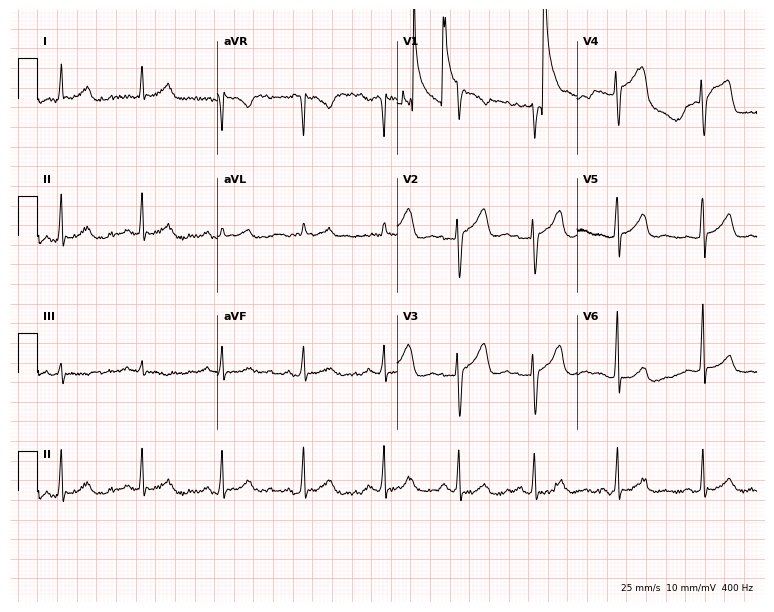
12-lead ECG (7.3-second recording at 400 Hz) from a 29-year-old female patient. Screened for six findings — first-degree AV block, right bundle branch block, left bundle branch block, sinus bradycardia, atrial fibrillation, sinus tachycardia — none is recorded.